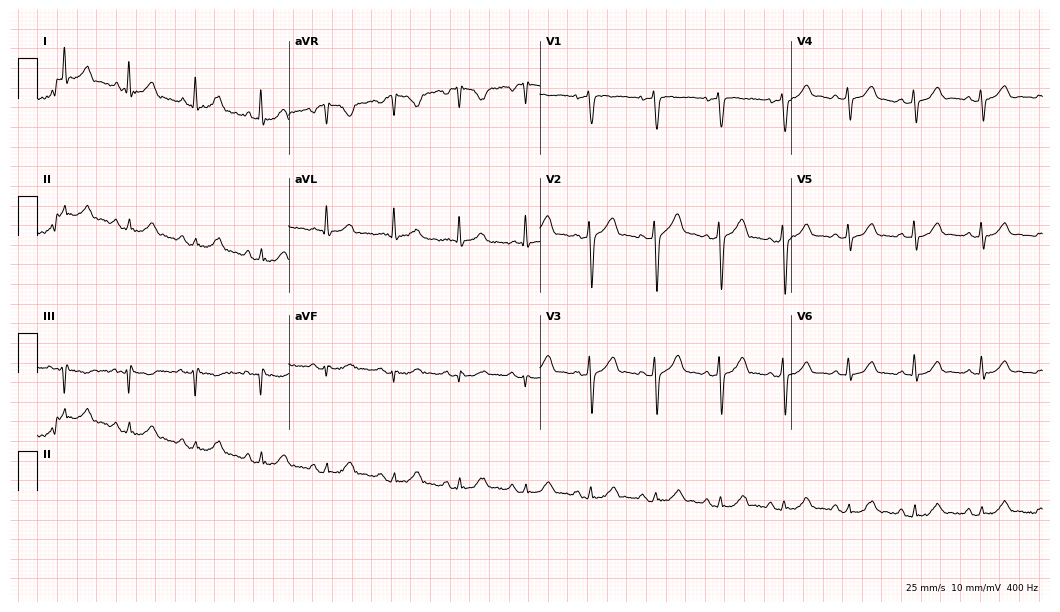
Standard 12-lead ECG recorded from a 38-year-old male. Read as a normal ECG.